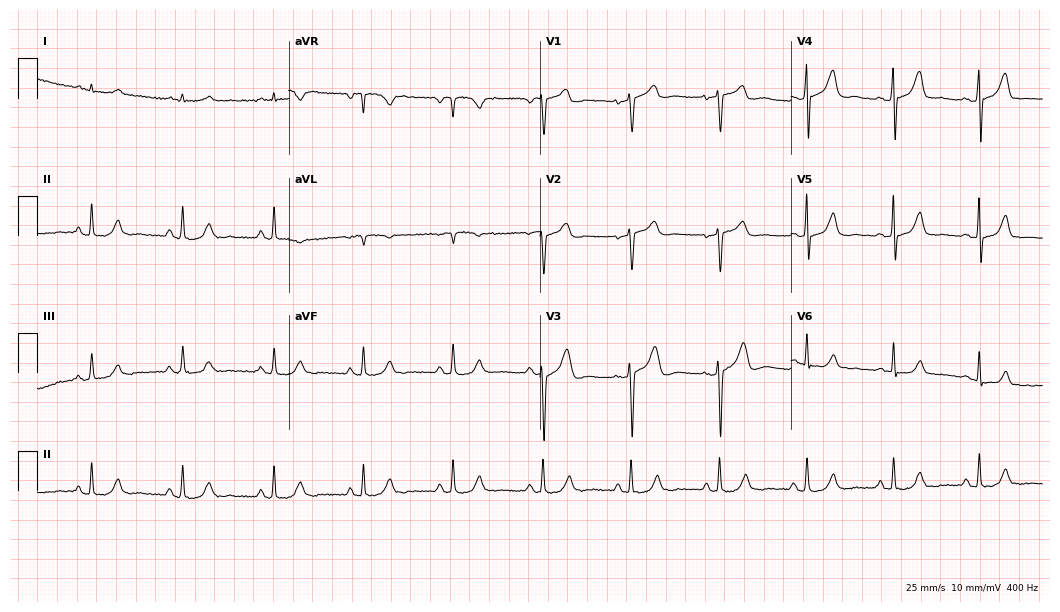
12-lead ECG from a male patient, 75 years old. Labelled as a normal ECG.